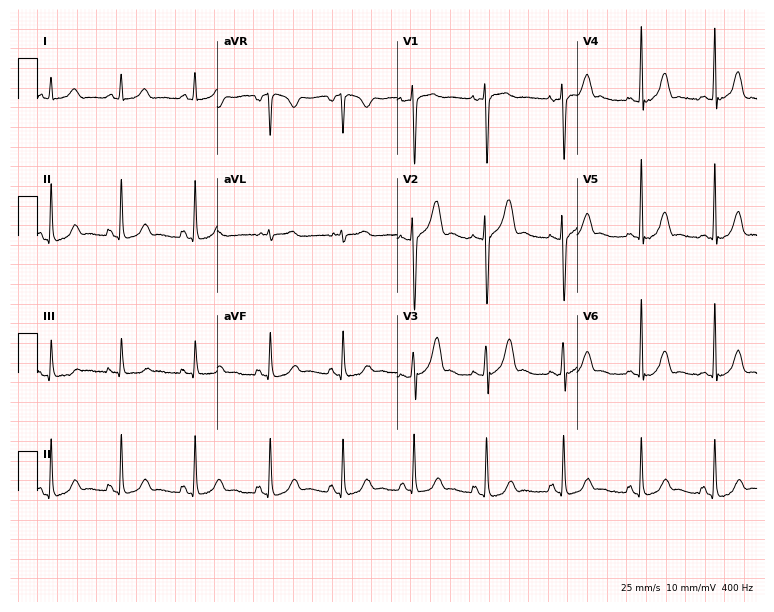
Standard 12-lead ECG recorded from a woman, 28 years old (7.3-second recording at 400 Hz). None of these six findings is recorded: first-degree AV block, right bundle branch block (RBBB), left bundle branch block (LBBB), sinus bradycardia, atrial fibrillation (AF), sinus tachycardia. Findings outside these six are not listed.